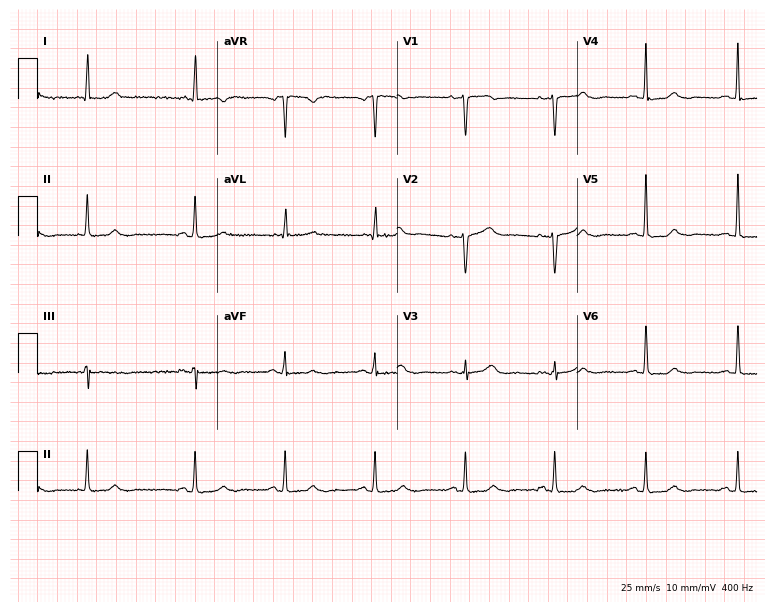
12-lead ECG from a female patient, 55 years old. No first-degree AV block, right bundle branch block, left bundle branch block, sinus bradycardia, atrial fibrillation or sinus tachycardia recorded for this tracing. Only these six findings were labelled.